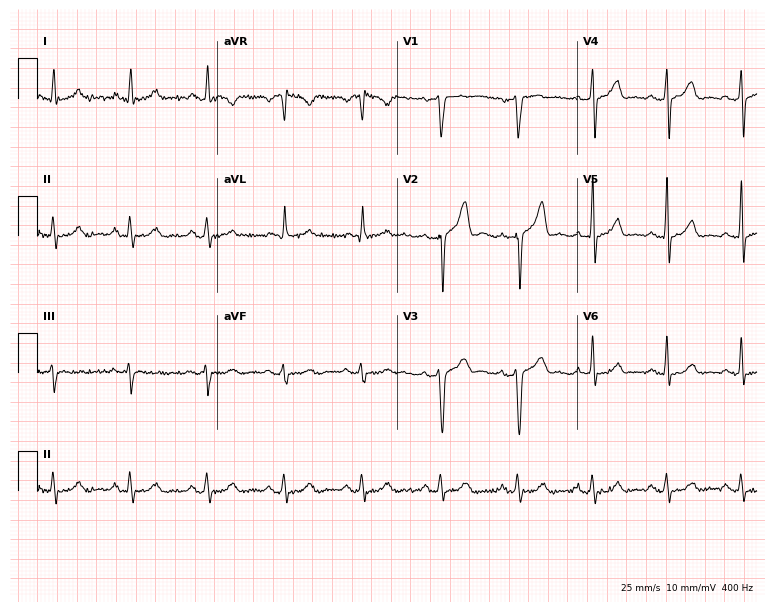
Resting 12-lead electrocardiogram. Patient: a male, 50 years old. Read as a normal ECG.